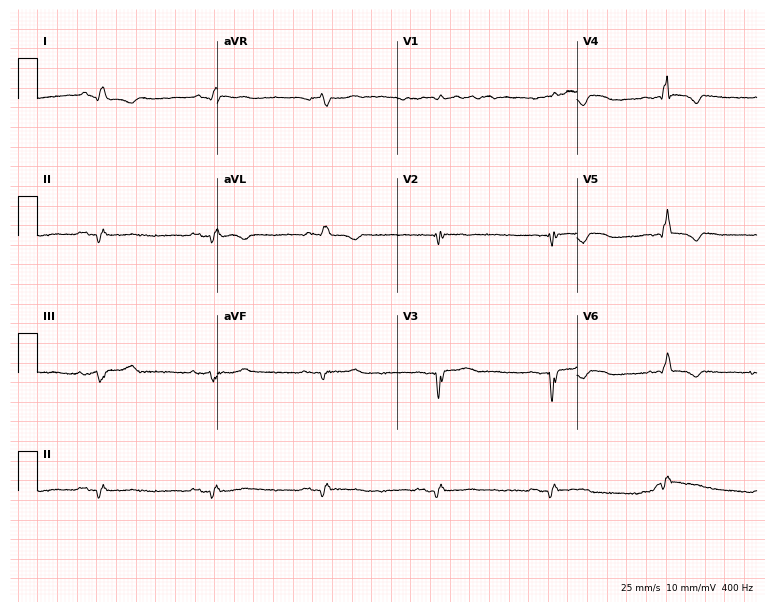
12-lead ECG (7.3-second recording at 400 Hz) from a 66-year-old male. Screened for six findings — first-degree AV block, right bundle branch block, left bundle branch block, sinus bradycardia, atrial fibrillation, sinus tachycardia — none is recorded.